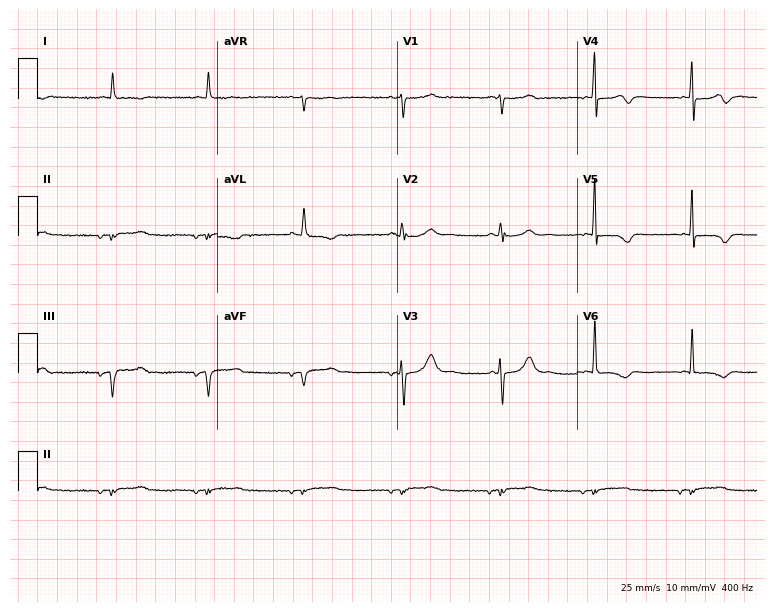
Standard 12-lead ECG recorded from a male patient, 53 years old (7.3-second recording at 400 Hz). None of these six findings is recorded: first-degree AV block, right bundle branch block, left bundle branch block, sinus bradycardia, atrial fibrillation, sinus tachycardia. Other findings, if any, are not listed.